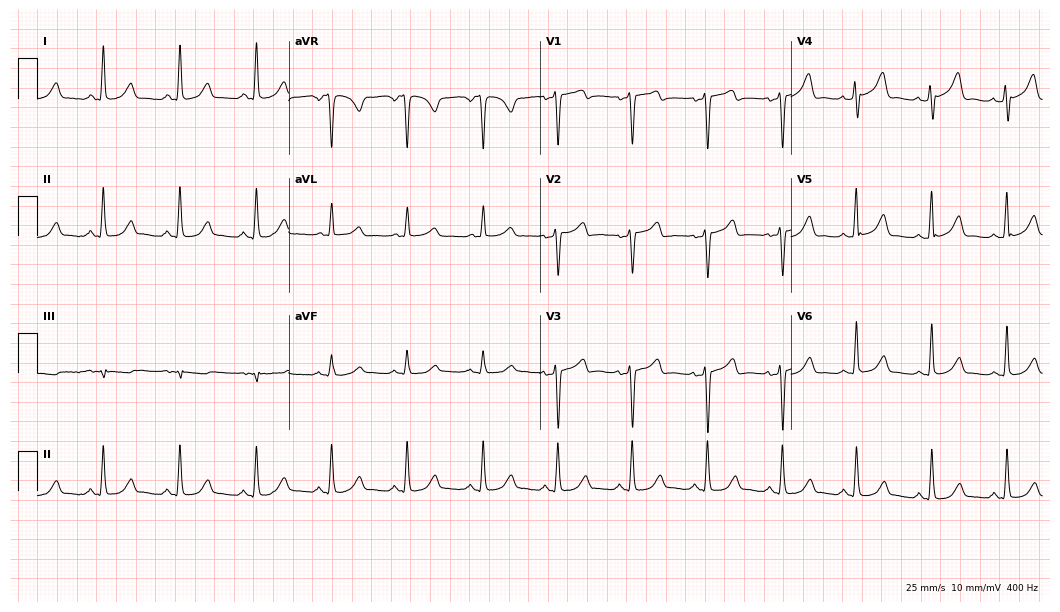
Resting 12-lead electrocardiogram (10.2-second recording at 400 Hz). Patient: a female, 41 years old. None of these six findings is recorded: first-degree AV block, right bundle branch block (RBBB), left bundle branch block (LBBB), sinus bradycardia, atrial fibrillation (AF), sinus tachycardia.